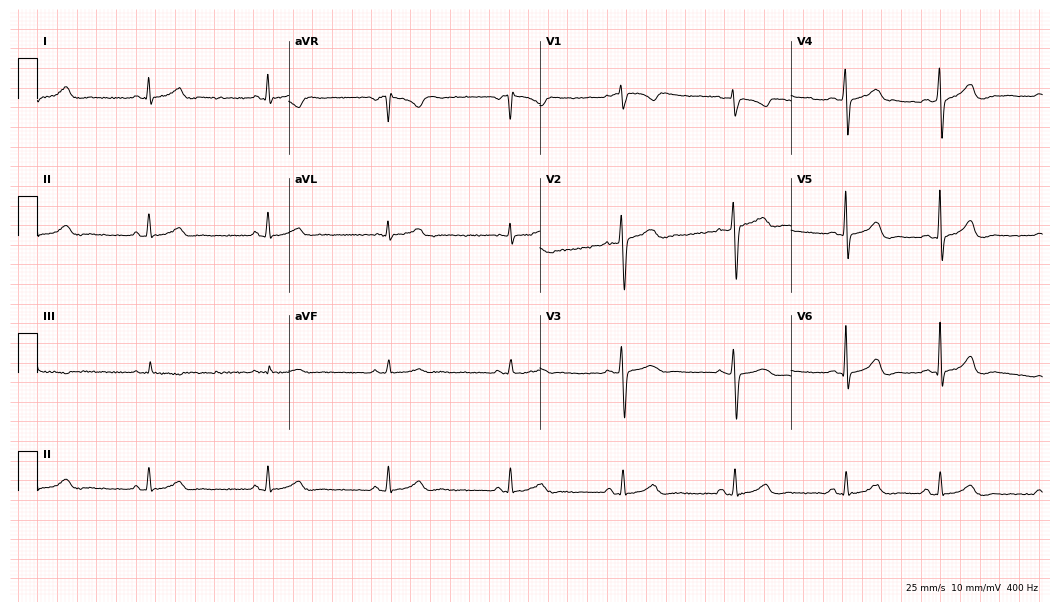
Resting 12-lead electrocardiogram. Patient: a 47-year-old female. Read as a normal ECG.